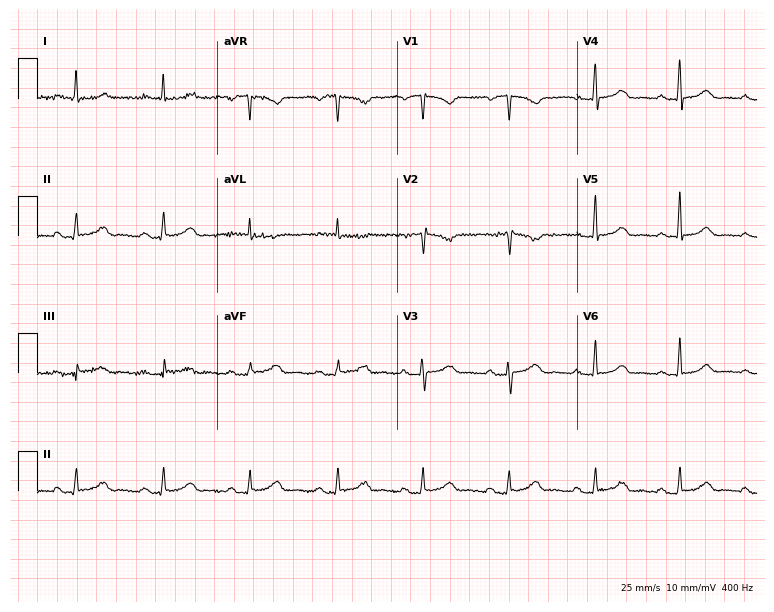
Electrocardiogram (7.3-second recording at 400 Hz), an 81-year-old woman. Overall reading on record: normal ECG.